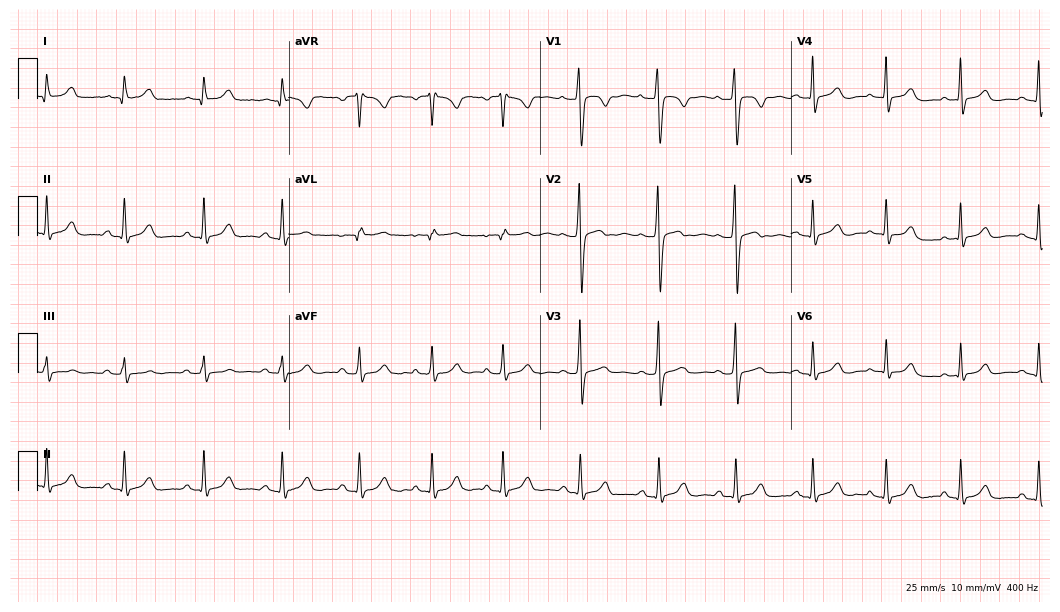
12-lead ECG from a woman, 17 years old. Screened for six findings — first-degree AV block, right bundle branch block (RBBB), left bundle branch block (LBBB), sinus bradycardia, atrial fibrillation (AF), sinus tachycardia — none is recorded.